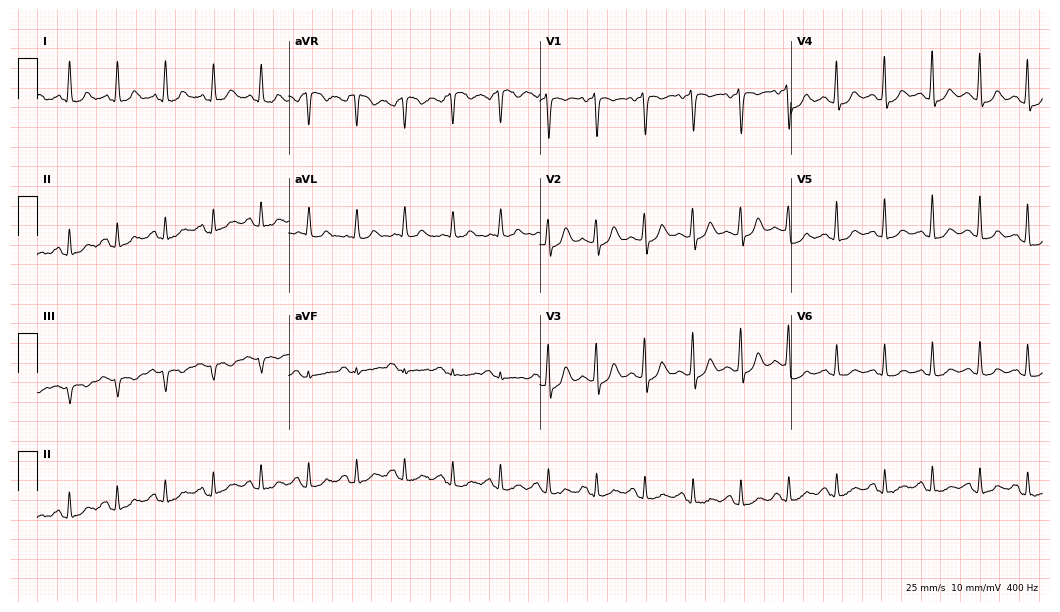
Electrocardiogram, a 66-year-old woman. Interpretation includes sinus tachycardia (a sinus rate of 100 beats per minute or more).